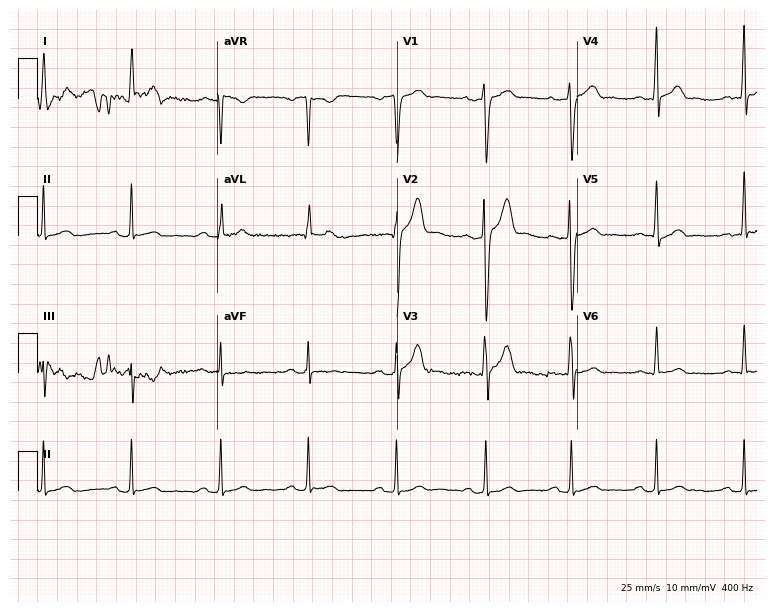
ECG (7.3-second recording at 400 Hz) — a 27-year-old man. Screened for six findings — first-degree AV block, right bundle branch block, left bundle branch block, sinus bradycardia, atrial fibrillation, sinus tachycardia — none is recorded. Only these six findings were labelled.